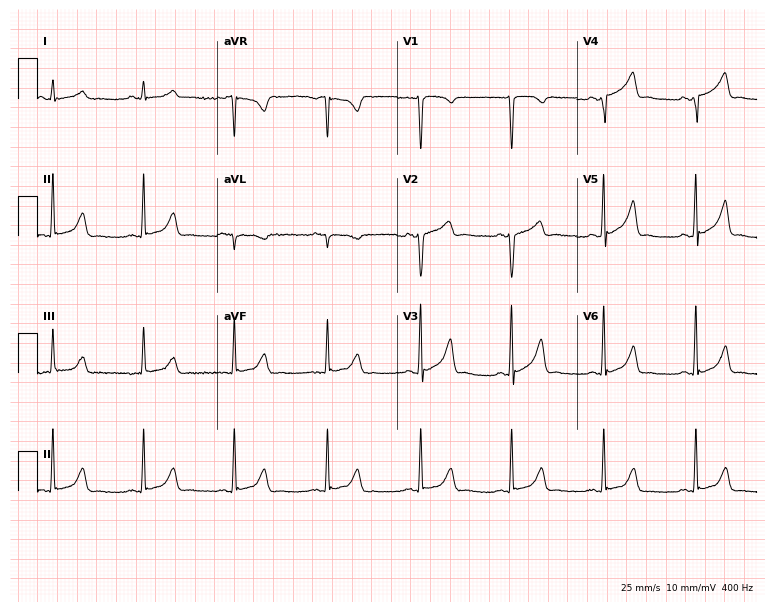
Resting 12-lead electrocardiogram. Patient: a female, 51 years old. None of these six findings is recorded: first-degree AV block, right bundle branch block, left bundle branch block, sinus bradycardia, atrial fibrillation, sinus tachycardia. Only these six findings were labelled.